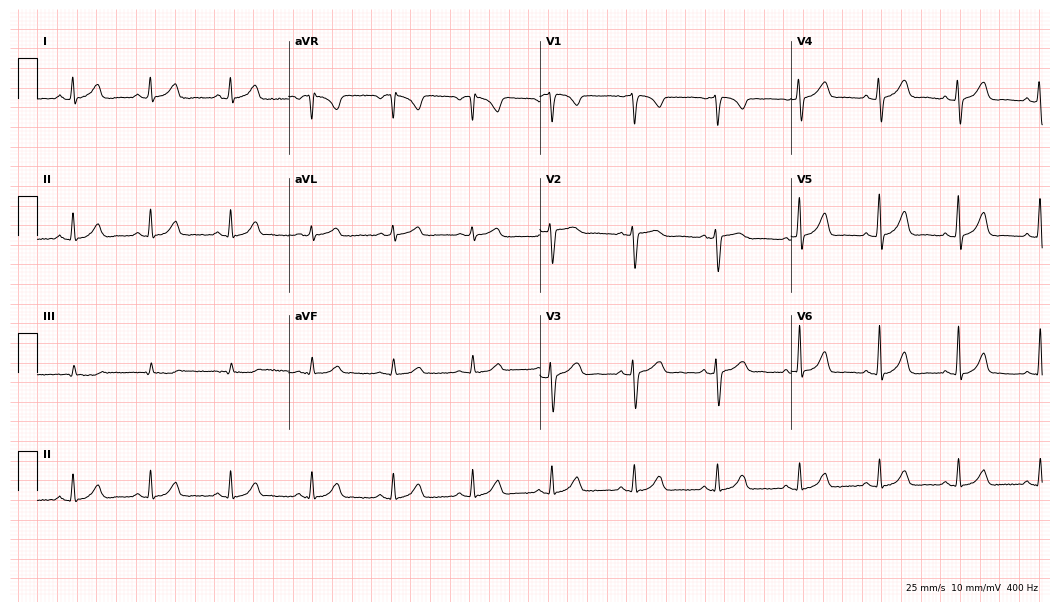
12-lead ECG (10.2-second recording at 400 Hz) from a 37-year-old woman. Labelled as a normal ECG.